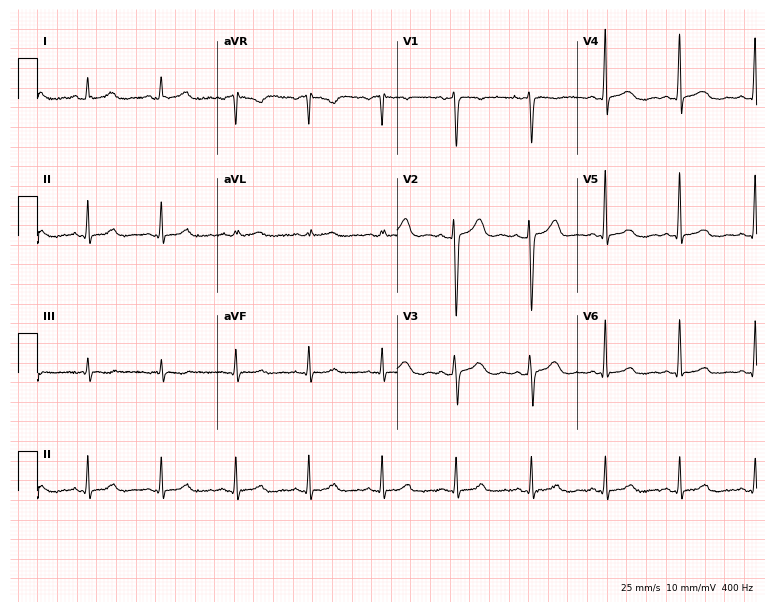
Standard 12-lead ECG recorded from a 34-year-old female patient. None of these six findings is recorded: first-degree AV block, right bundle branch block (RBBB), left bundle branch block (LBBB), sinus bradycardia, atrial fibrillation (AF), sinus tachycardia.